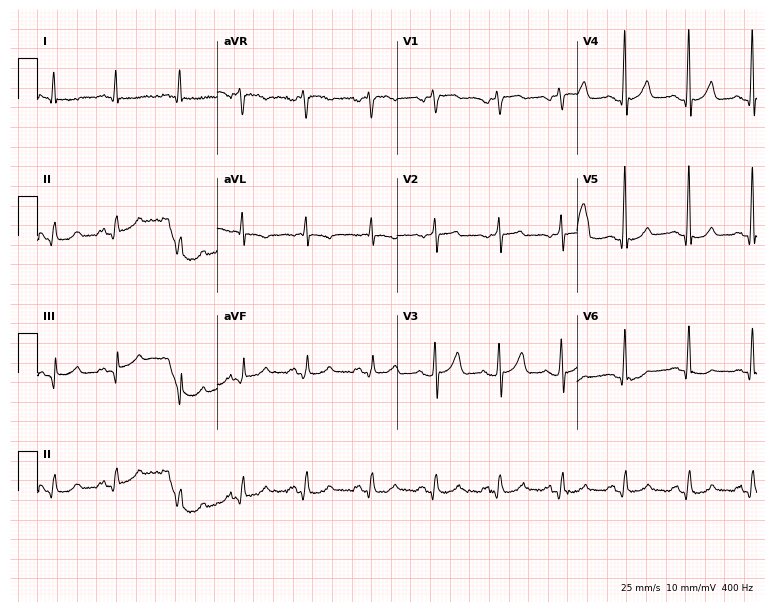
12-lead ECG from a male, 65 years old. No first-degree AV block, right bundle branch block, left bundle branch block, sinus bradycardia, atrial fibrillation or sinus tachycardia recorded for this tracing. Findings outside these six are not listed.